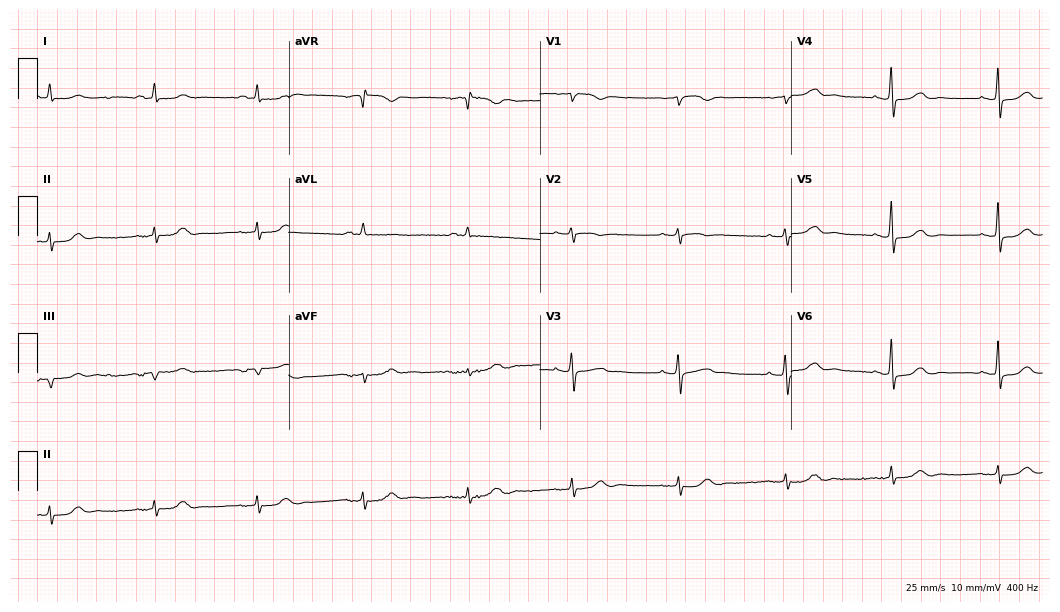
Electrocardiogram, a man, 85 years old. Overall reading on record: normal ECG.